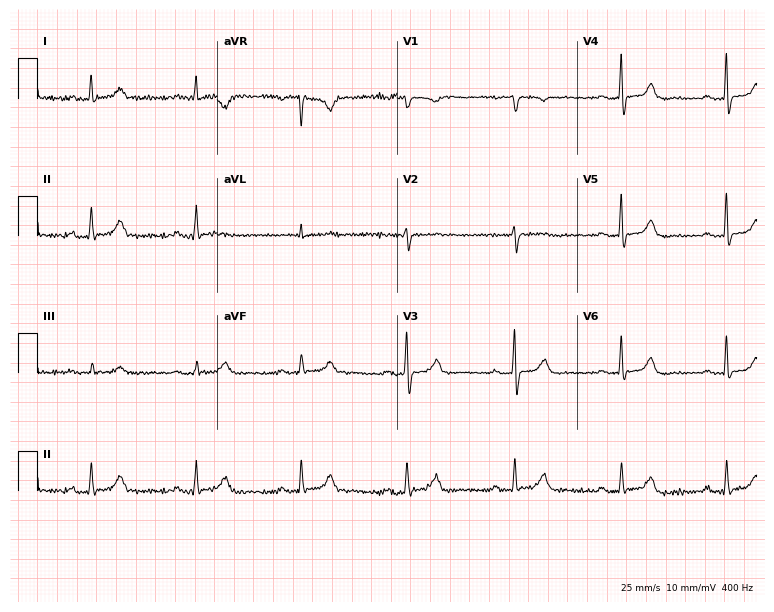
Resting 12-lead electrocardiogram. Patient: a woman, 74 years old. The tracing shows first-degree AV block.